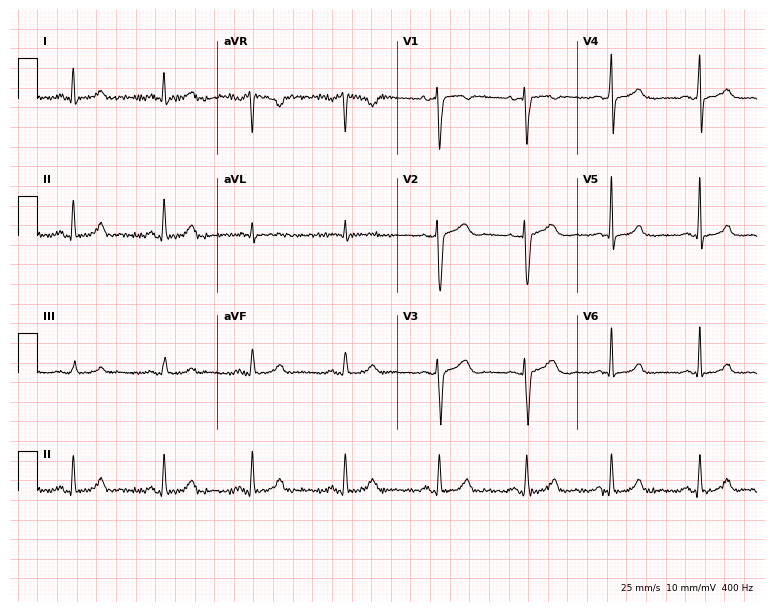
12-lead ECG from a female, 39 years old (7.3-second recording at 400 Hz). No first-degree AV block, right bundle branch block, left bundle branch block, sinus bradycardia, atrial fibrillation or sinus tachycardia recorded for this tracing. Findings outside these six are not listed.